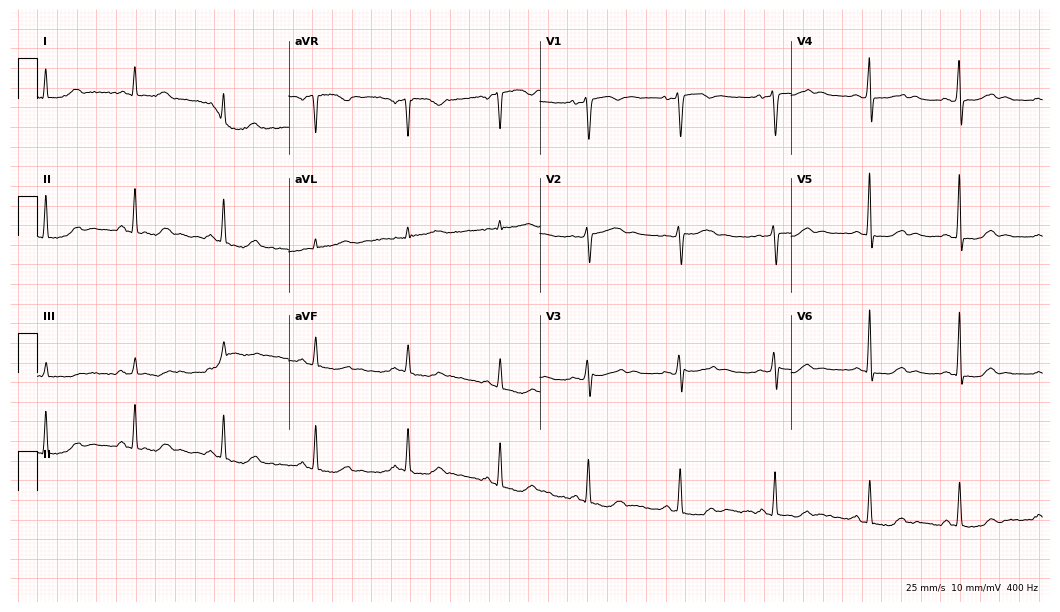
Electrocardiogram (10.2-second recording at 400 Hz), a 56-year-old female patient. Overall reading on record: normal ECG.